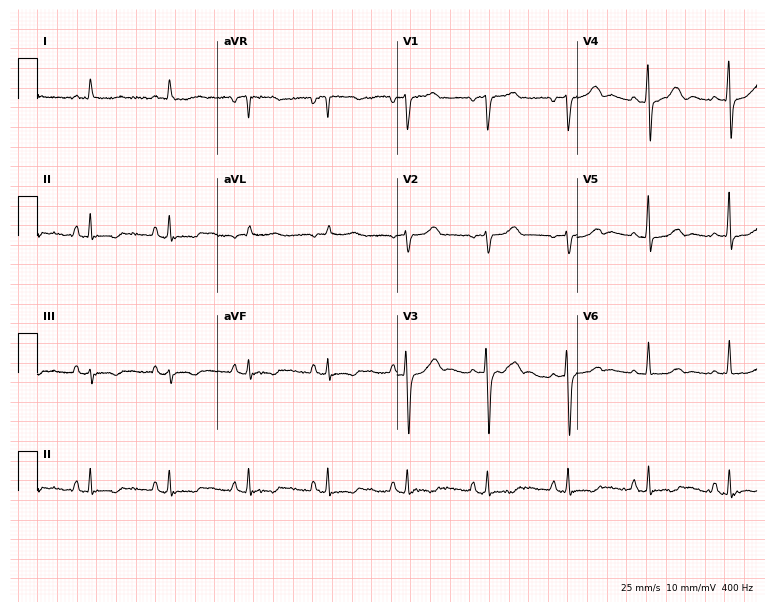
Resting 12-lead electrocardiogram. Patient: a 71-year-old male. None of these six findings is recorded: first-degree AV block, right bundle branch block, left bundle branch block, sinus bradycardia, atrial fibrillation, sinus tachycardia. Other findings, if any, are not listed.